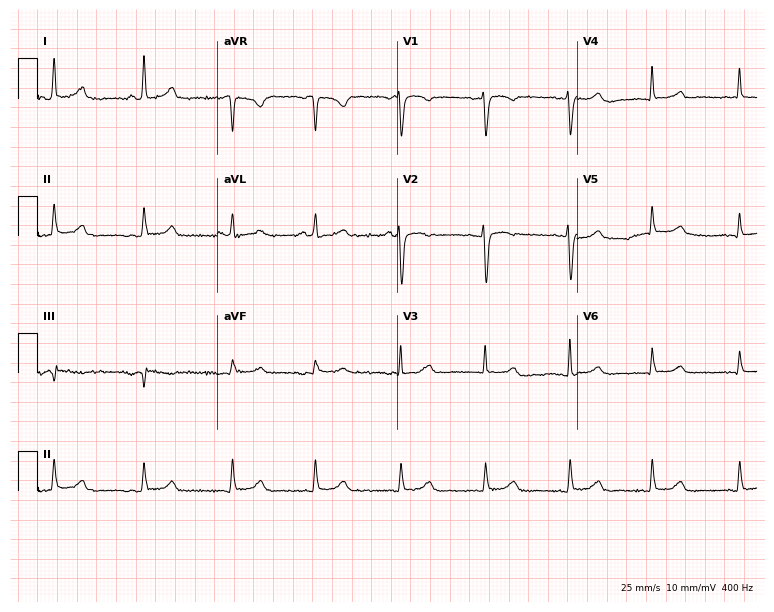
12-lead ECG from a 55-year-old female patient (7.3-second recording at 400 Hz). Recorded interpretation: within normal limits.